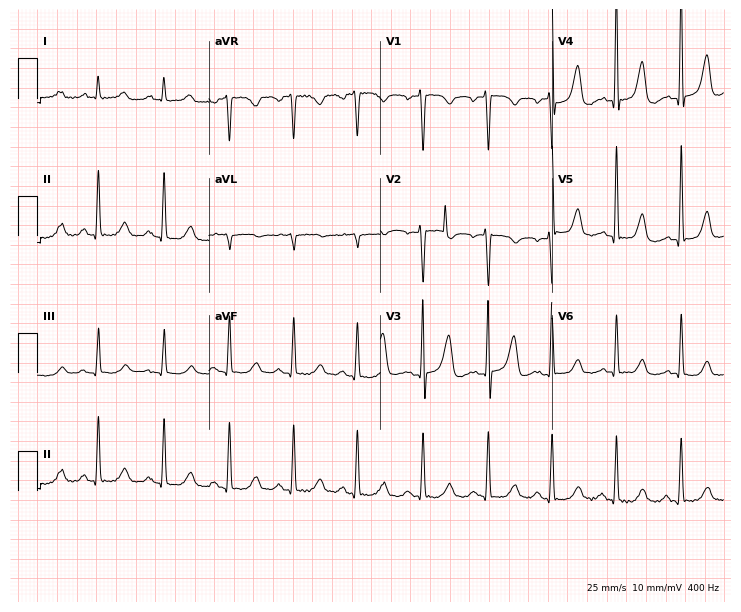
12-lead ECG from a 39-year-old woman. No first-degree AV block, right bundle branch block, left bundle branch block, sinus bradycardia, atrial fibrillation or sinus tachycardia recorded for this tracing. Findings outside these six are not listed.